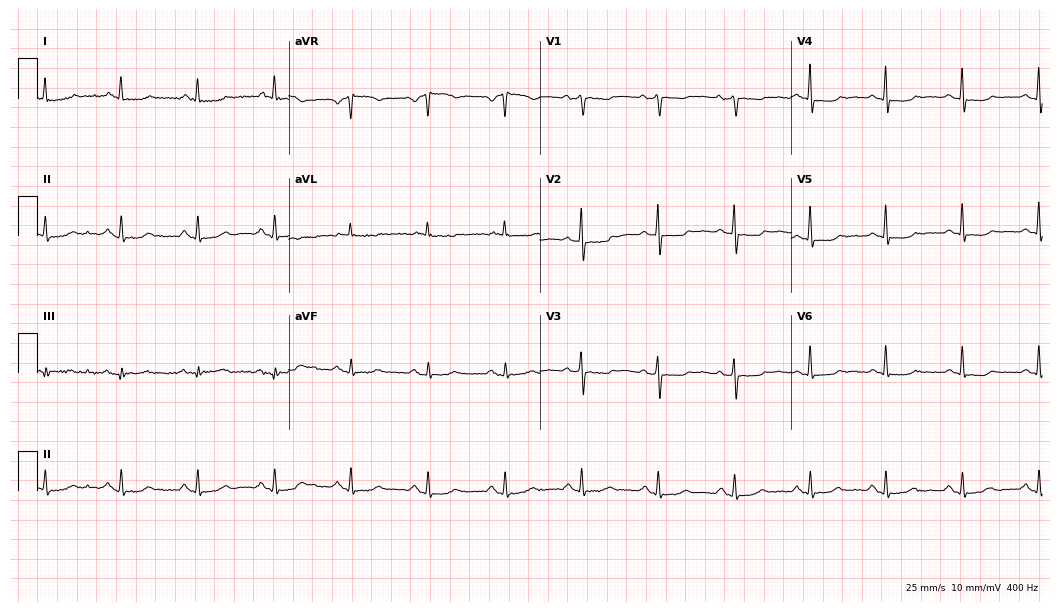
Electrocardiogram (10.2-second recording at 400 Hz), a female, 63 years old. Of the six screened findings (first-degree AV block, right bundle branch block, left bundle branch block, sinus bradycardia, atrial fibrillation, sinus tachycardia), none is recorded.